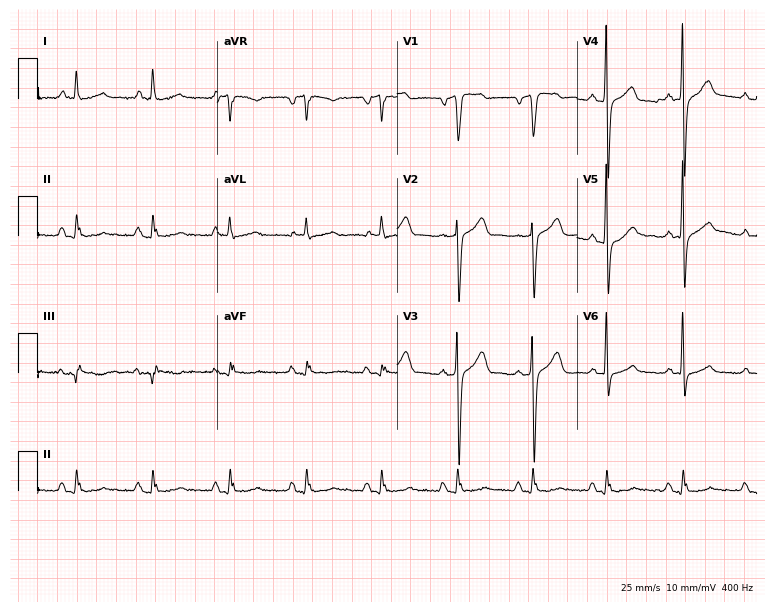
Standard 12-lead ECG recorded from a 67-year-old male. Read as a normal ECG.